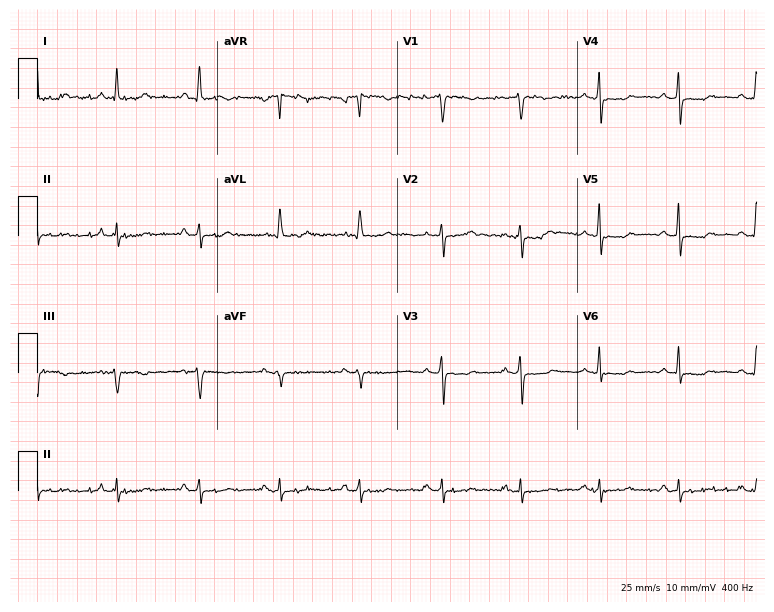
ECG — a female, 46 years old. Screened for six findings — first-degree AV block, right bundle branch block, left bundle branch block, sinus bradycardia, atrial fibrillation, sinus tachycardia — none is recorded. Findings outside these six are not listed.